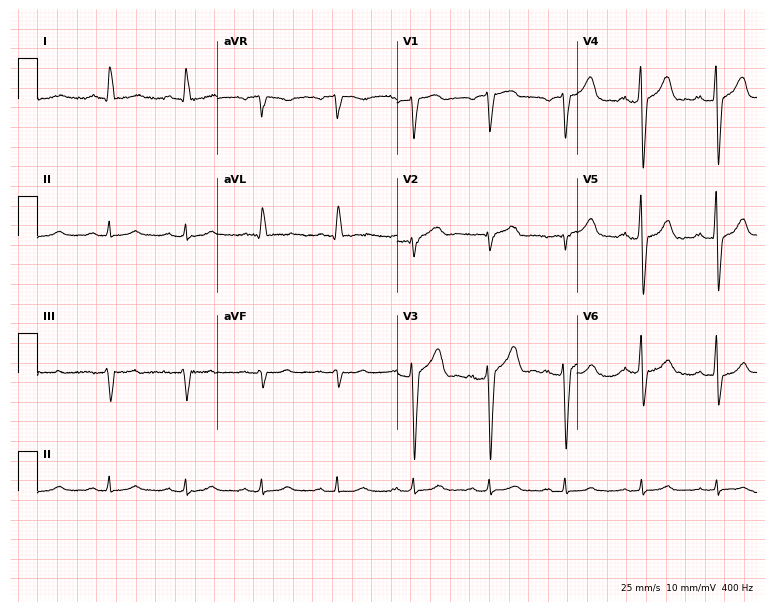
12-lead ECG from a male patient, 79 years old. Labelled as a normal ECG.